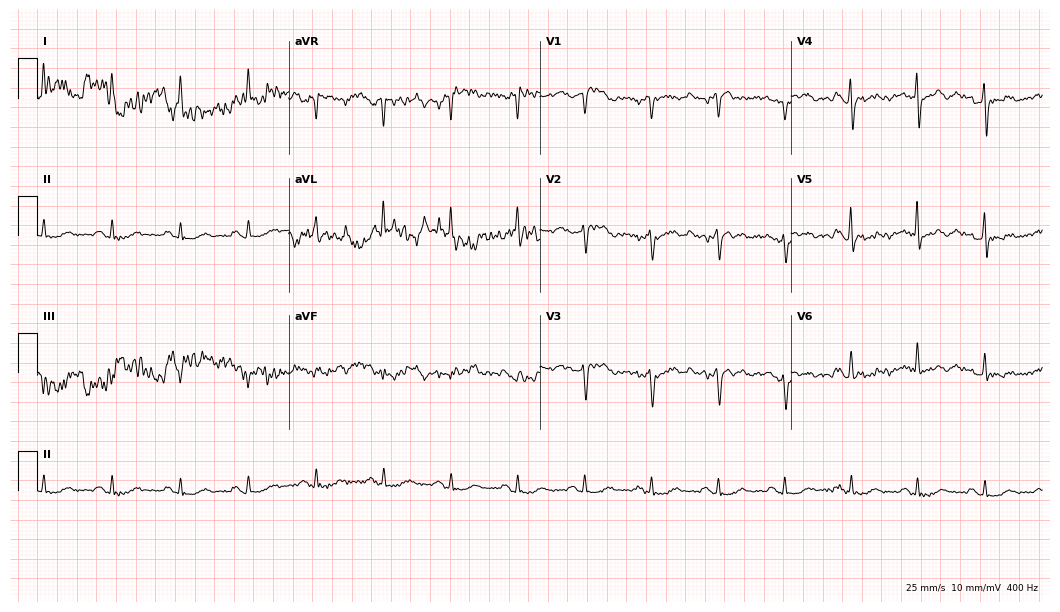
Resting 12-lead electrocardiogram. Patient: a 63-year-old female. None of these six findings is recorded: first-degree AV block, right bundle branch block, left bundle branch block, sinus bradycardia, atrial fibrillation, sinus tachycardia. Only these six findings were labelled.